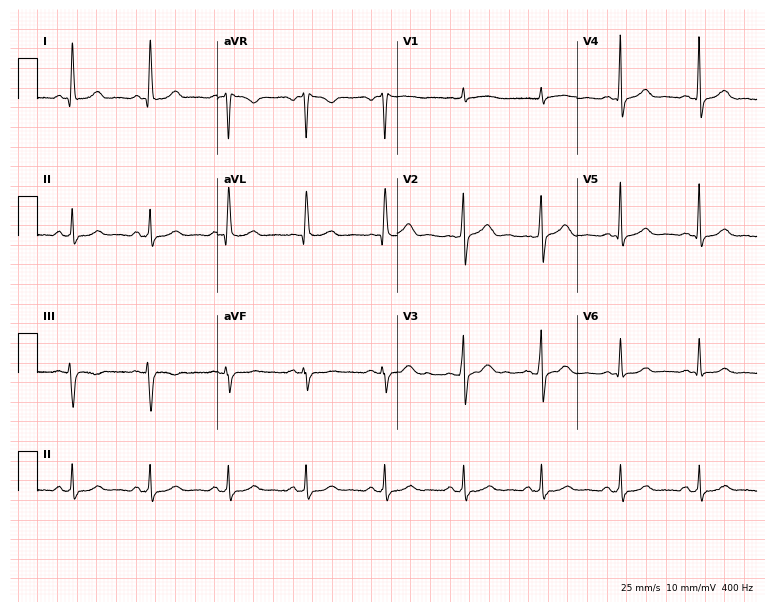
Standard 12-lead ECG recorded from a 50-year-old female (7.3-second recording at 400 Hz). Read as a normal ECG.